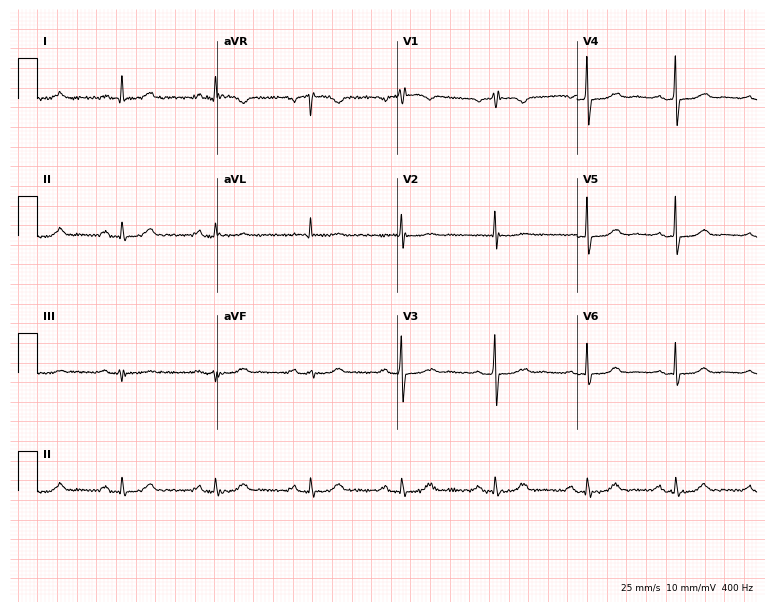
Resting 12-lead electrocardiogram. Patient: a 63-year-old woman. Read as a normal ECG.